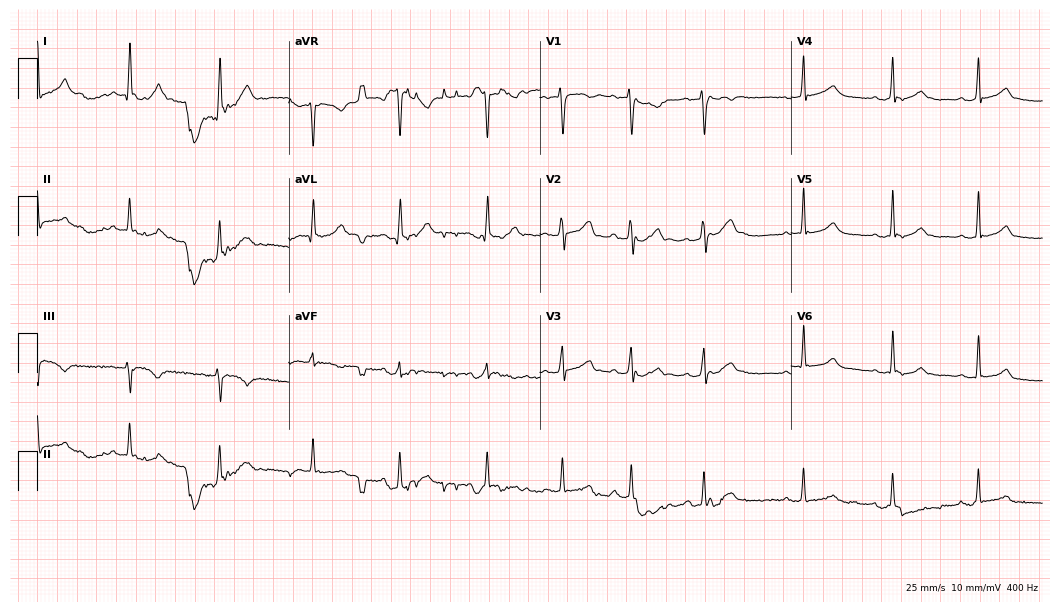
12-lead ECG from a male patient, 26 years old (10.2-second recording at 400 Hz). Recorded interpretation: within normal limits.